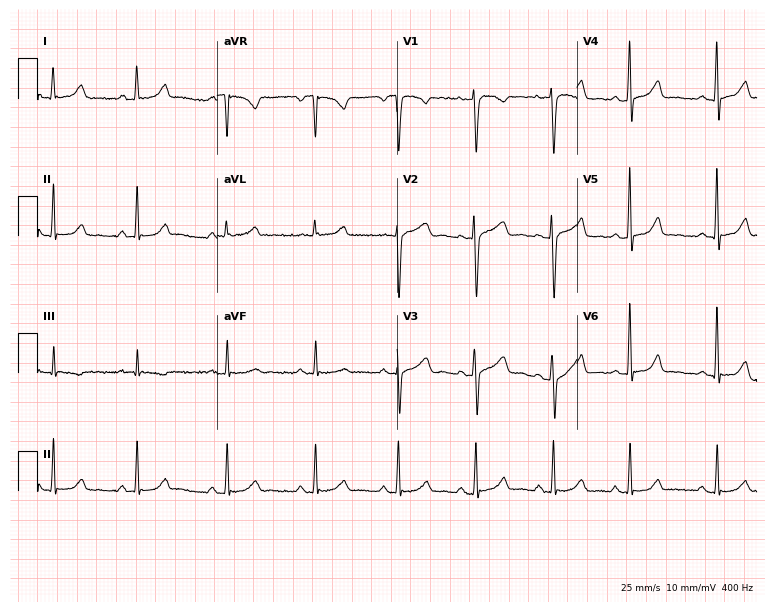
Resting 12-lead electrocardiogram (7.3-second recording at 400 Hz). Patient: a 39-year-old female. Read as a normal ECG.